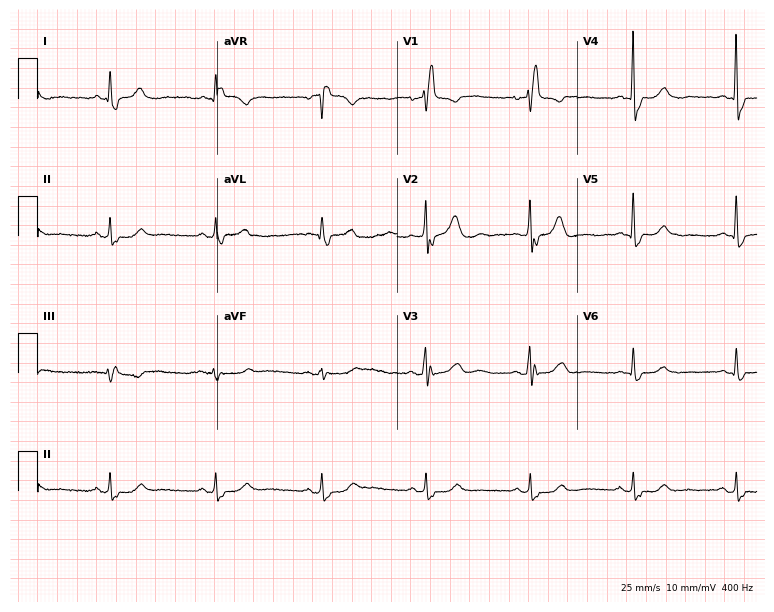
12-lead ECG from a 65-year-old male. Findings include right bundle branch block.